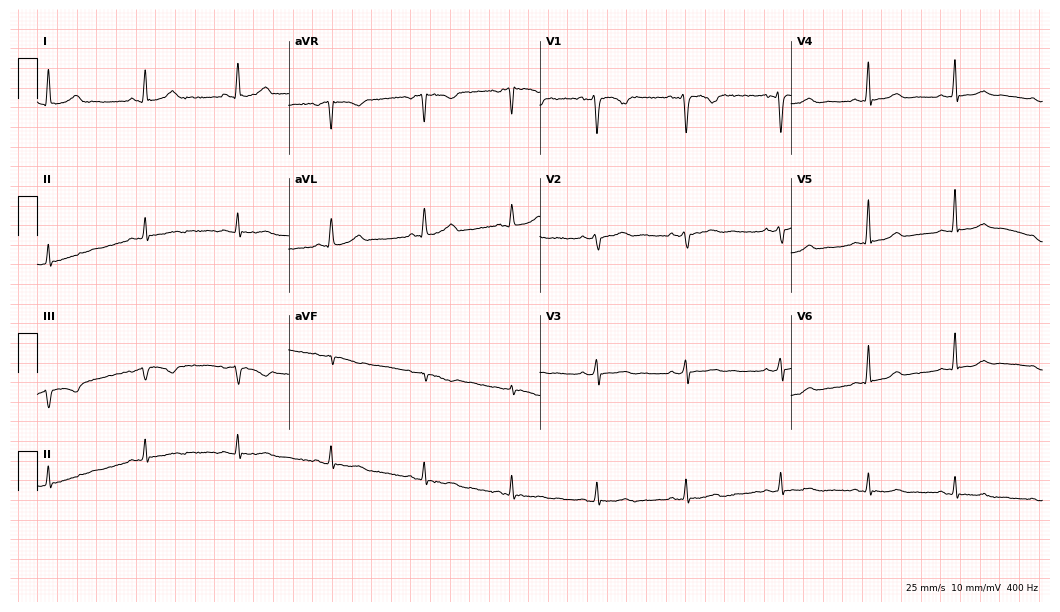
Electrocardiogram, a woman, 38 years old. Overall reading on record: normal ECG.